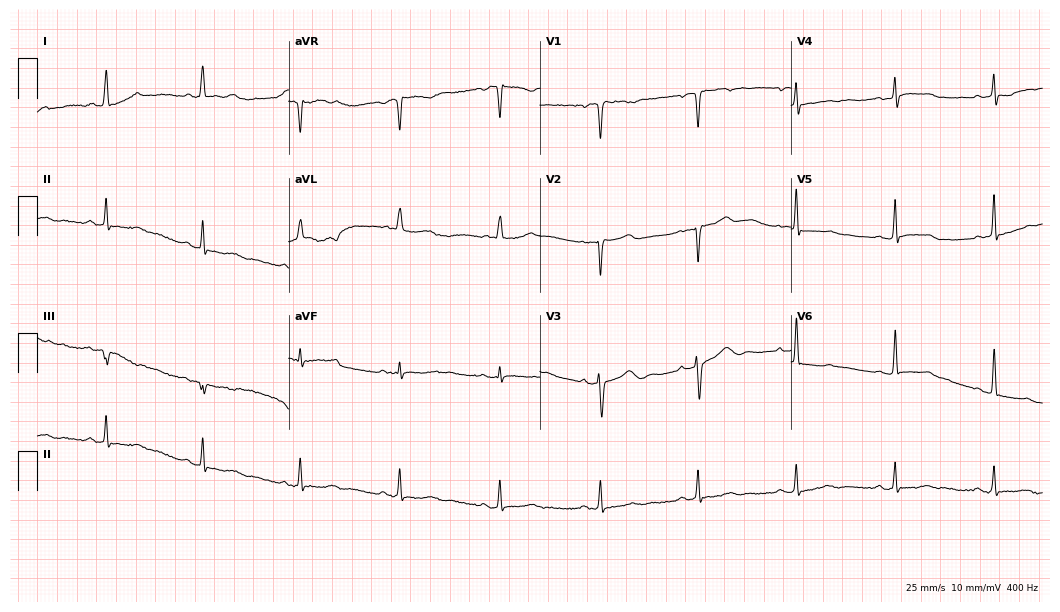
Electrocardiogram, a female, 42 years old. Of the six screened findings (first-degree AV block, right bundle branch block, left bundle branch block, sinus bradycardia, atrial fibrillation, sinus tachycardia), none is recorded. Findings outside these six are not listed.